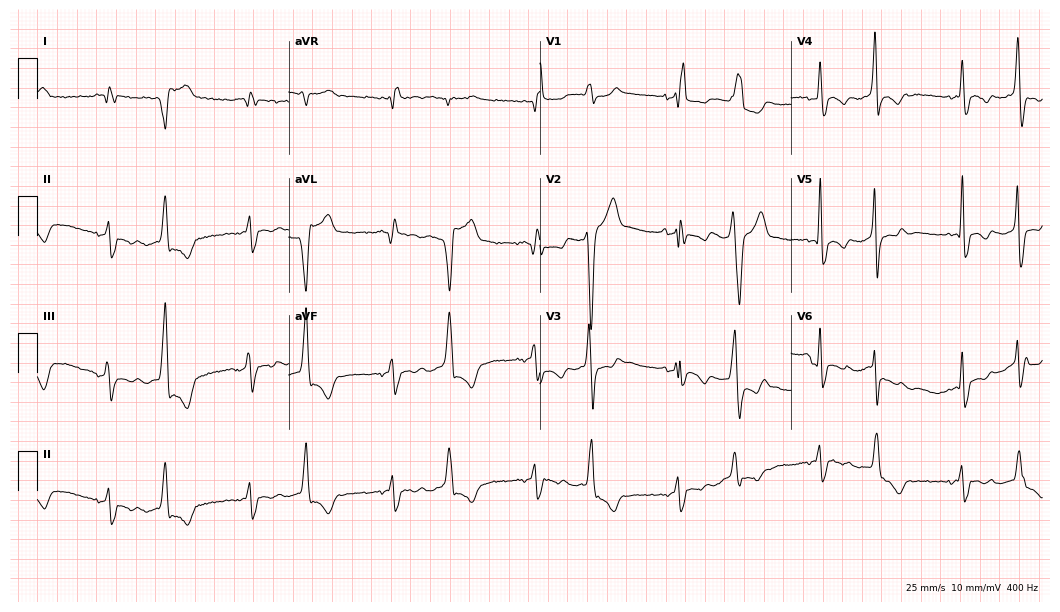
Resting 12-lead electrocardiogram (10.2-second recording at 400 Hz). Patient: a 73-year-old female. None of these six findings is recorded: first-degree AV block, right bundle branch block (RBBB), left bundle branch block (LBBB), sinus bradycardia, atrial fibrillation (AF), sinus tachycardia. Findings outside these six are not listed.